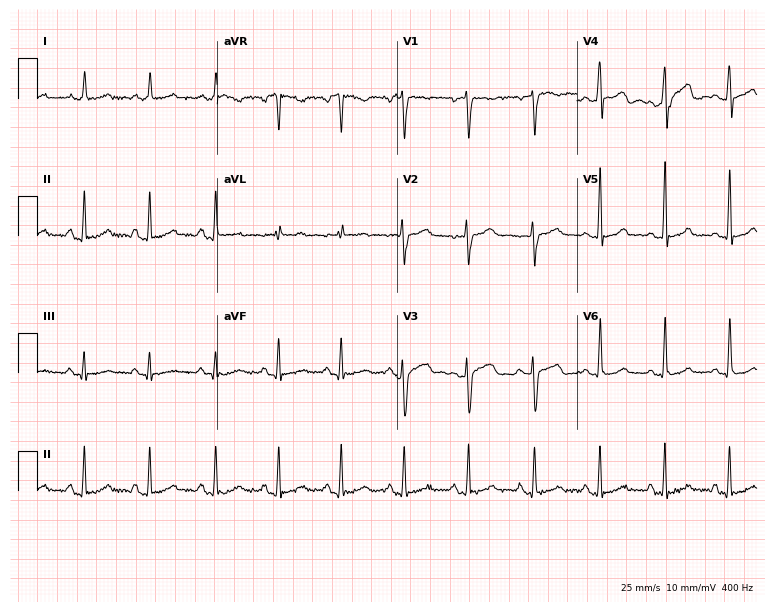
Standard 12-lead ECG recorded from a female patient, 25 years old (7.3-second recording at 400 Hz). None of these six findings is recorded: first-degree AV block, right bundle branch block, left bundle branch block, sinus bradycardia, atrial fibrillation, sinus tachycardia.